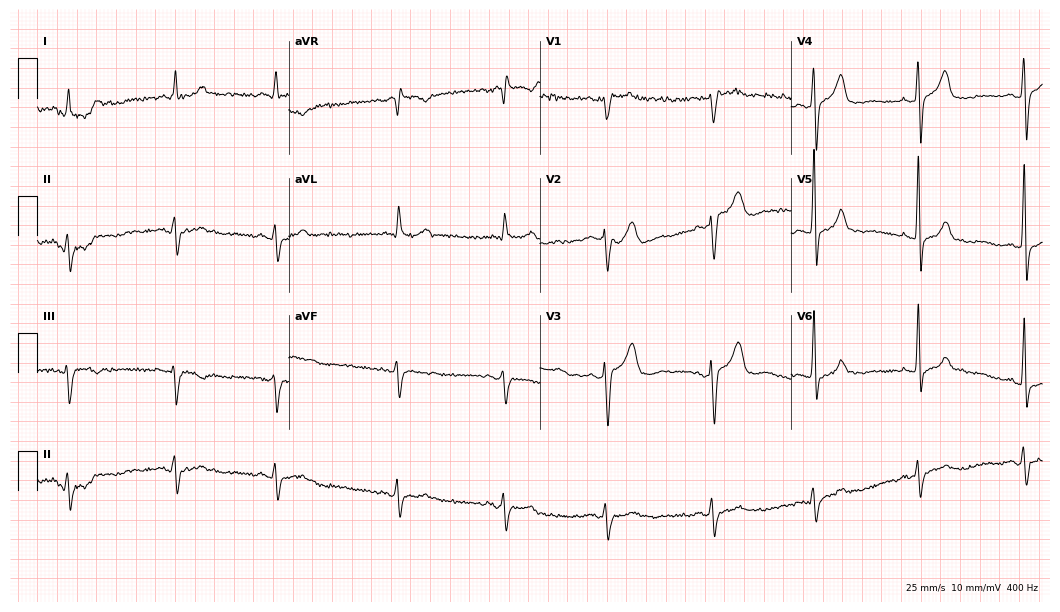
Electrocardiogram, a female patient, 61 years old. Of the six screened findings (first-degree AV block, right bundle branch block, left bundle branch block, sinus bradycardia, atrial fibrillation, sinus tachycardia), none is recorded. Only these six findings were labelled.